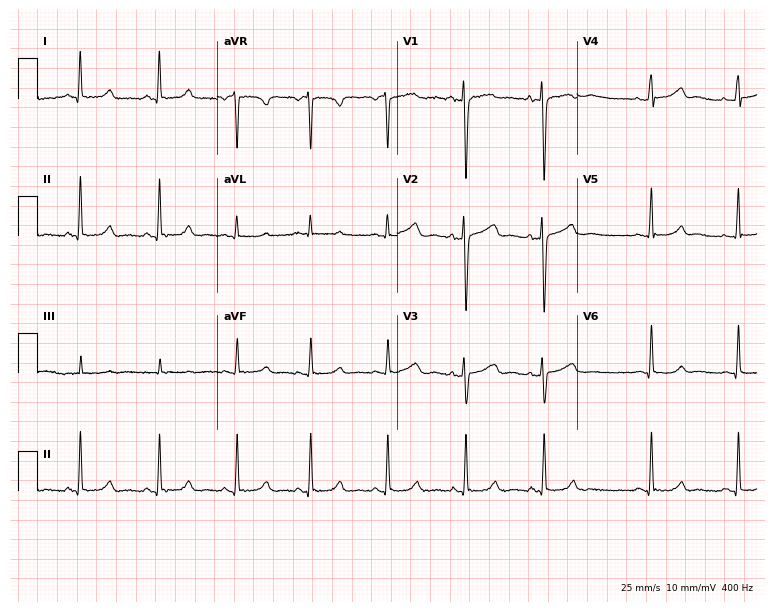
Resting 12-lead electrocardiogram (7.3-second recording at 400 Hz). Patient: a woman, 29 years old. Read as a normal ECG.